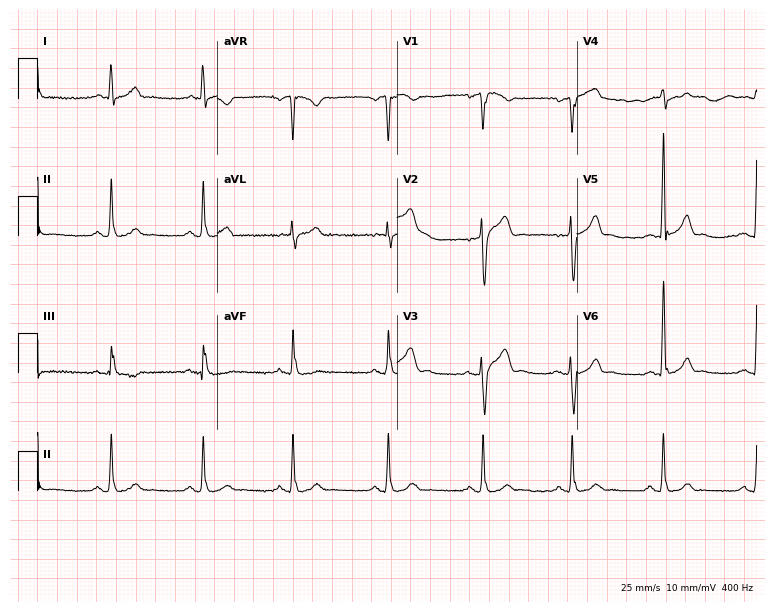
Standard 12-lead ECG recorded from a 27-year-old male (7.3-second recording at 400 Hz). Read as a normal ECG.